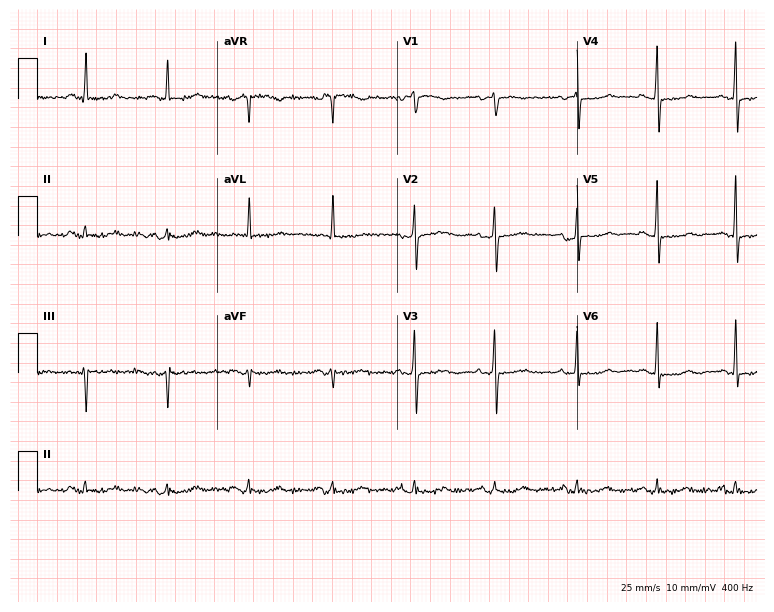
Standard 12-lead ECG recorded from a 61-year-old female. None of these six findings is recorded: first-degree AV block, right bundle branch block (RBBB), left bundle branch block (LBBB), sinus bradycardia, atrial fibrillation (AF), sinus tachycardia.